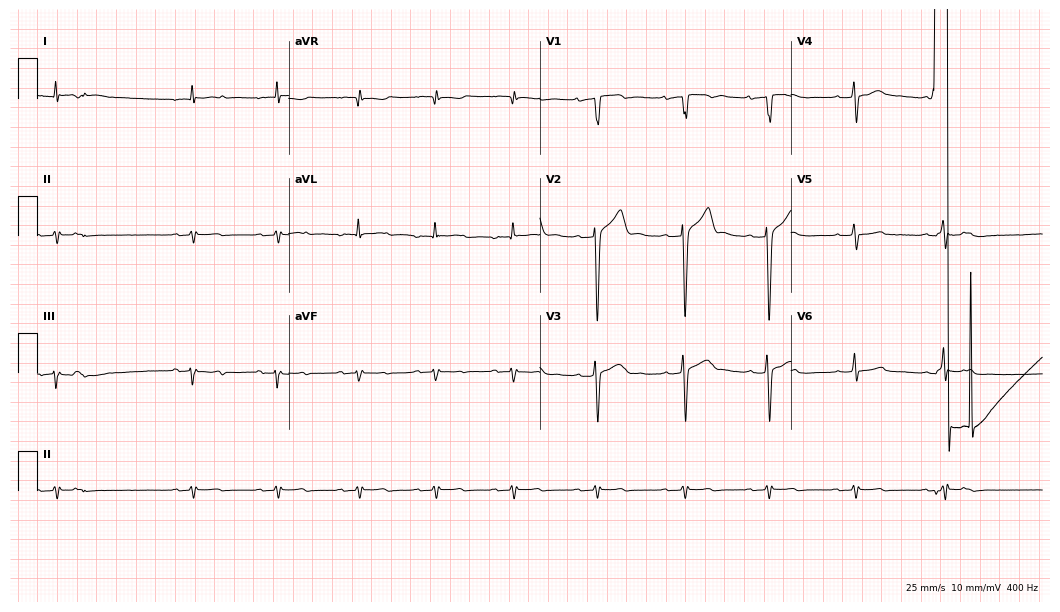
Resting 12-lead electrocardiogram (10.2-second recording at 400 Hz). Patient: a male, 20 years old. None of these six findings is recorded: first-degree AV block, right bundle branch block, left bundle branch block, sinus bradycardia, atrial fibrillation, sinus tachycardia. Other findings, if any, are not listed.